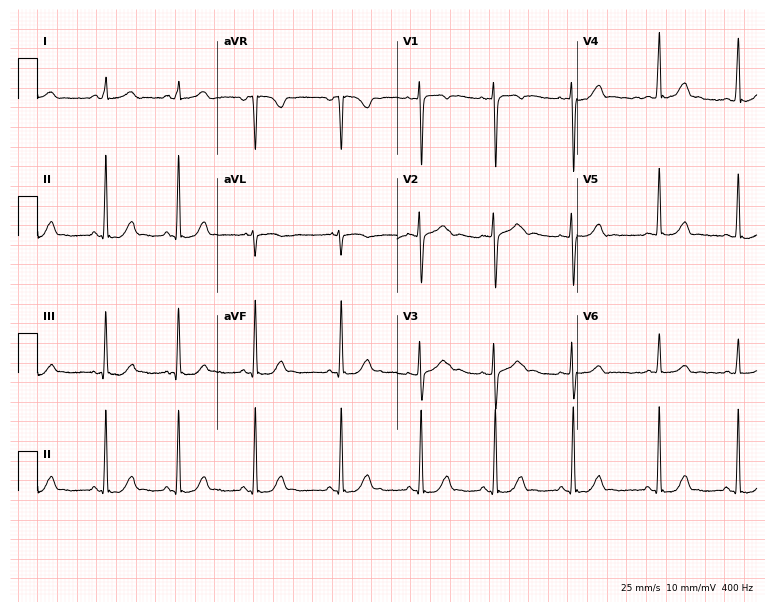
Electrocardiogram, a 22-year-old woman. Overall reading on record: normal ECG.